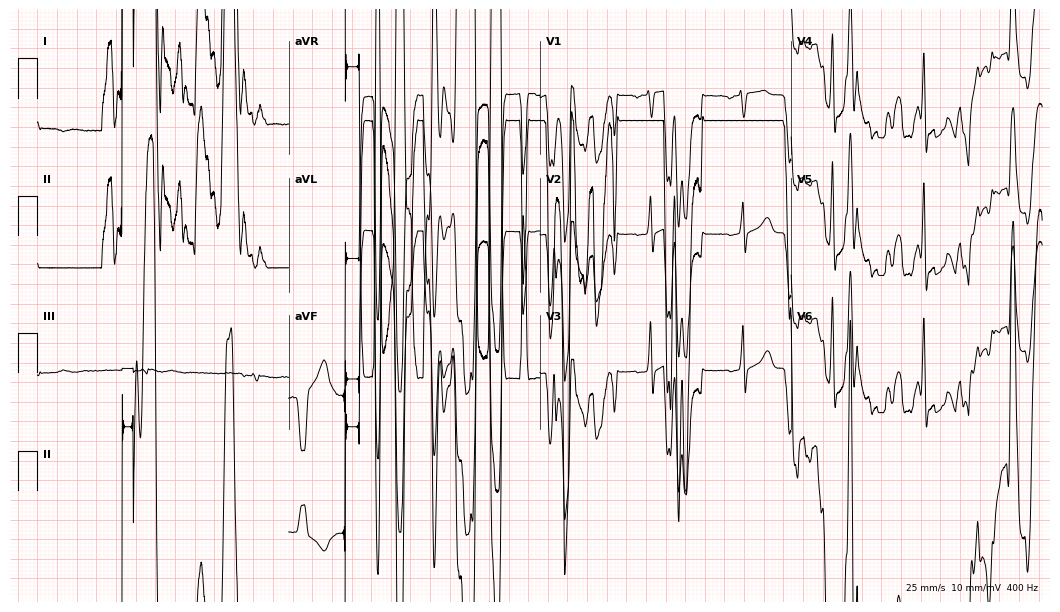
Resting 12-lead electrocardiogram. Patient: a male, 69 years old. None of these six findings is recorded: first-degree AV block, right bundle branch block (RBBB), left bundle branch block (LBBB), sinus bradycardia, atrial fibrillation (AF), sinus tachycardia. Other findings, if any, are not listed.